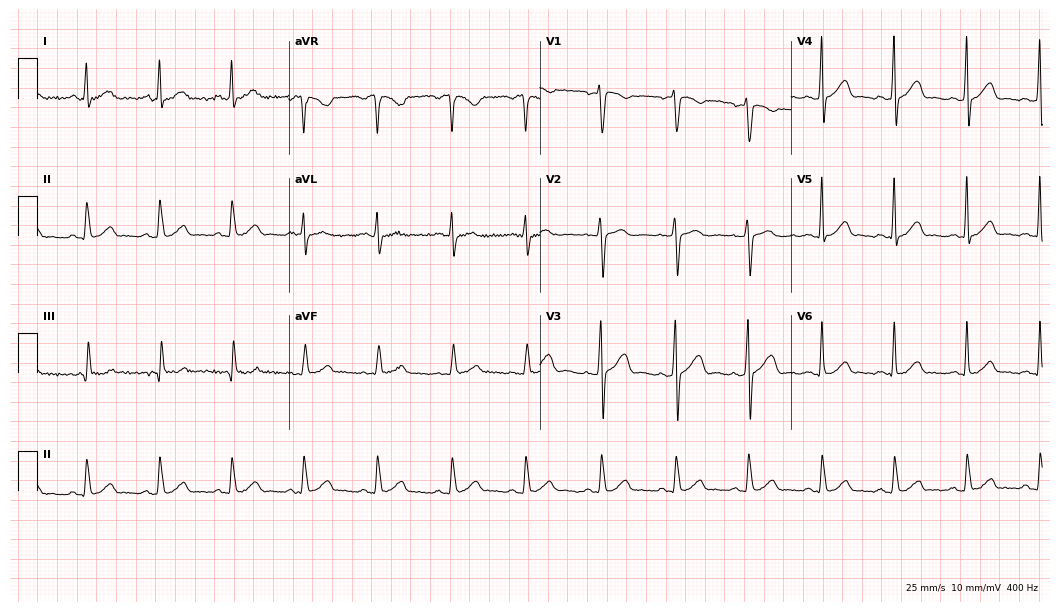
ECG — a male, 29 years old. Labelled as a normal ECG.